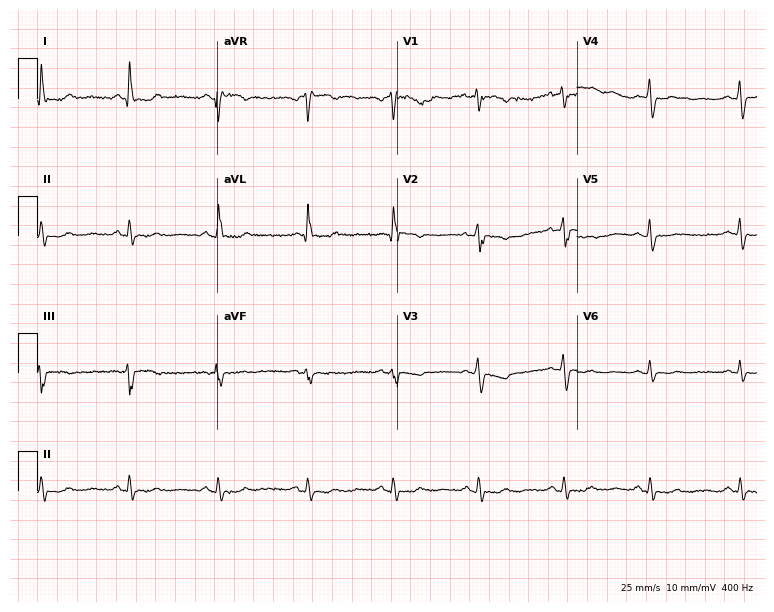
ECG — a 52-year-old woman. Screened for six findings — first-degree AV block, right bundle branch block, left bundle branch block, sinus bradycardia, atrial fibrillation, sinus tachycardia — none is recorded.